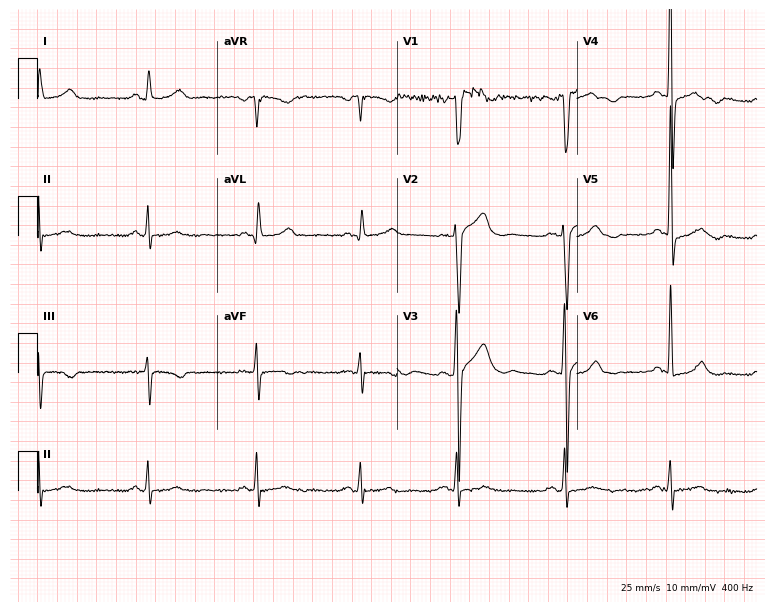
Electrocardiogram (7.3-second recording at 400 Hz), a male, 47 years old. Of the six screened findings (first-degree AV block, right bundle branch block (RBBB), left bundle branch block (LBBB), sinus bradycardia, atrial fibrillation (AF), sinus tachycardia), none is recorded. Only these six findings were labelled.